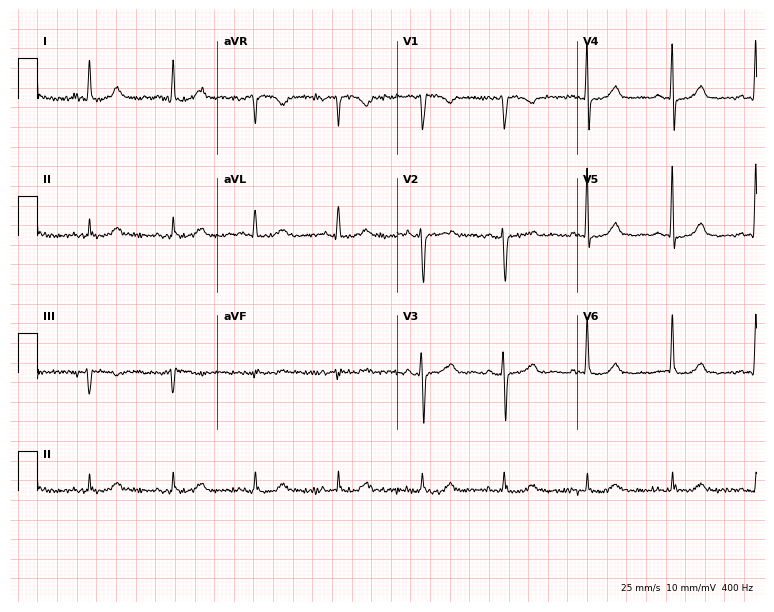
Resting 12-lead electrocardiogram (7.3-second recording at 400 Hz). Patient: an 81-year-old woman. Read as a normal ECG.